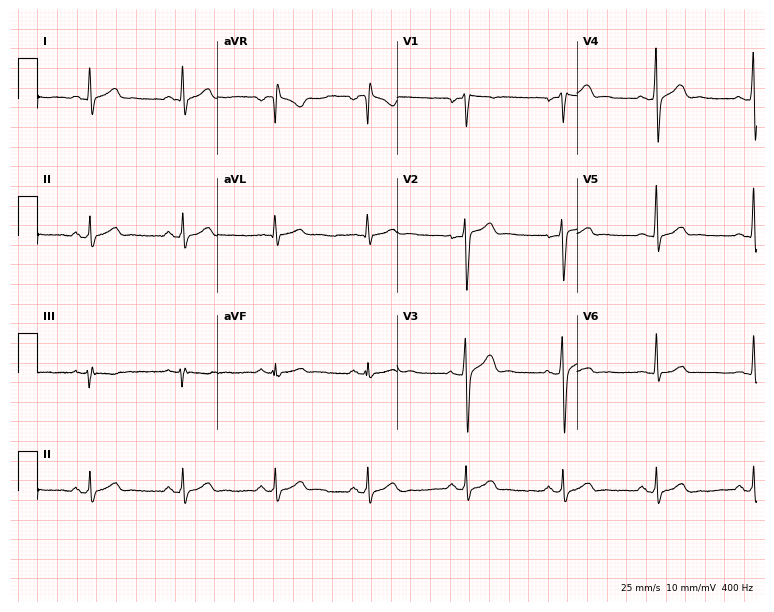
12-lead ECG from a man, 35 years old. Recorded interpretation: within normal limits.